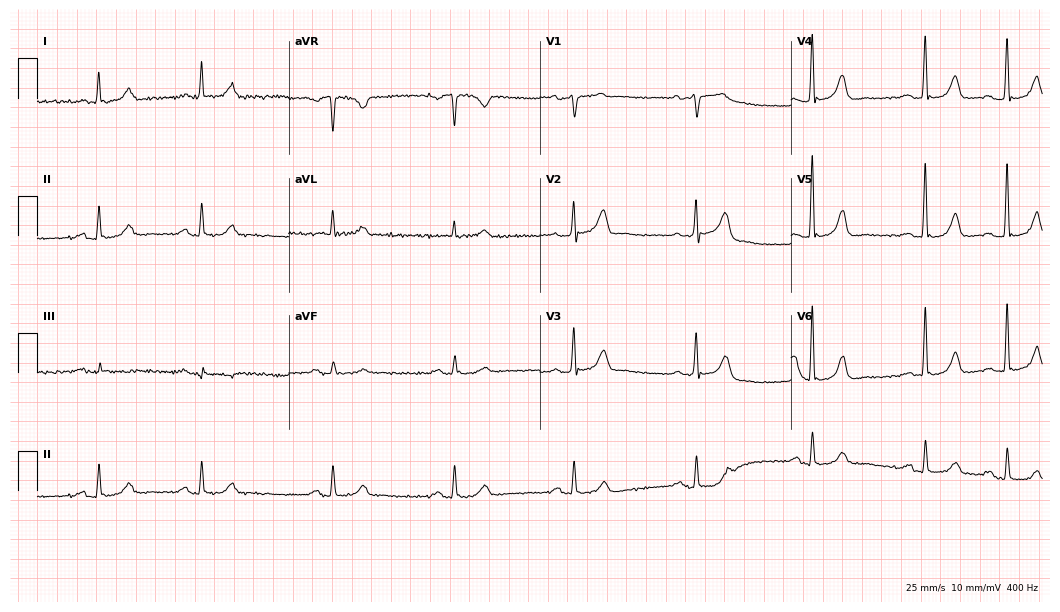
12-lead ECG from a man, 75 years old. Findings include right bundle branch block (RBBB).